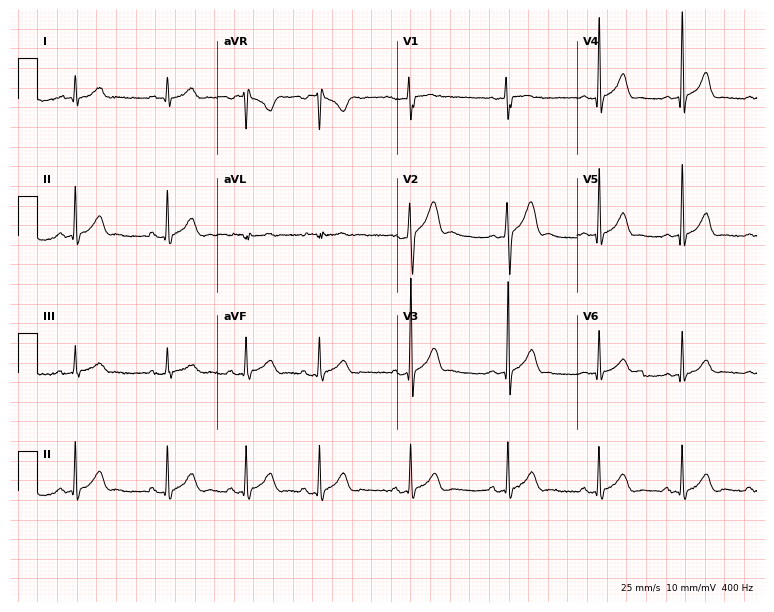
Resting 12-lead electrocardiogram (7.3-second recording at 400 Hz). Patient: a 17-year-old man. None of these six findings is recorded: first-degree AV block, right bundle branch block, left bundle branch block, sinus bradycardia, atrial fibrillation, sinus tachycardia. Only these six findings were labelled.